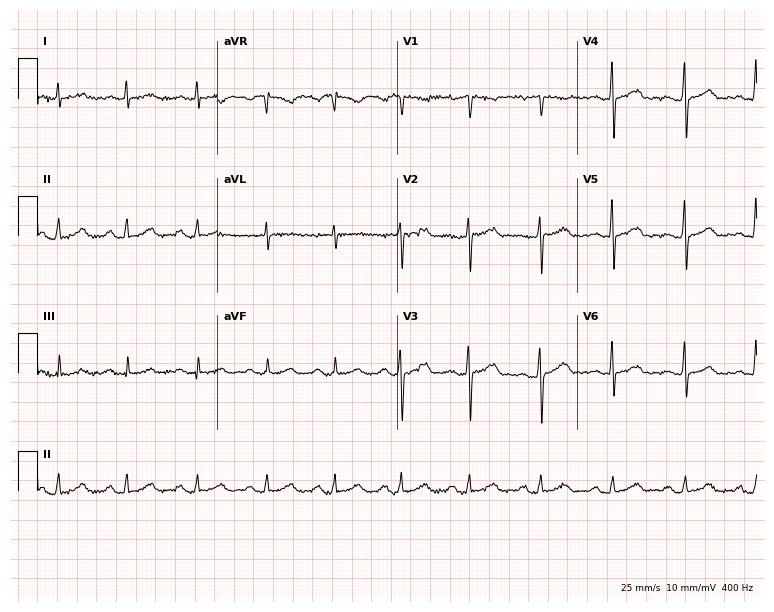
Resting 12-lead electrocardiogram. Patient: a 46-year-old woman. Read as a normal ECG.